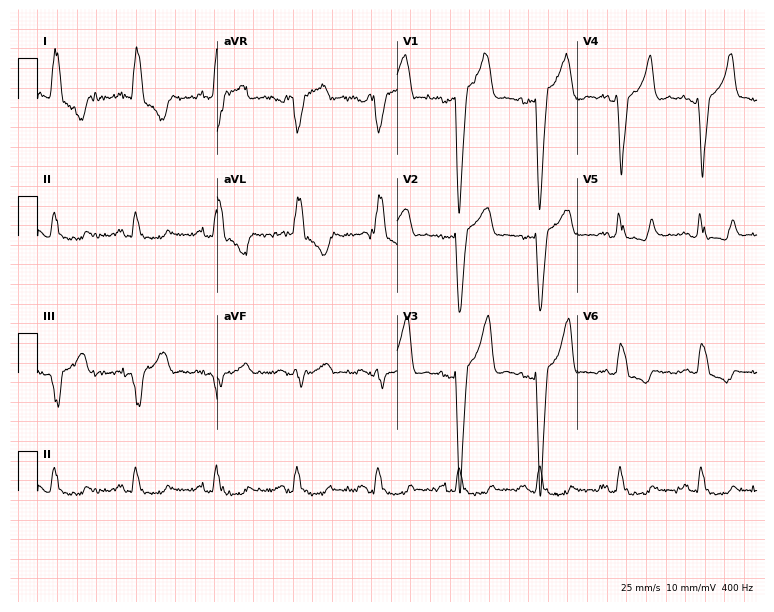
ECG (7.3-second recording at 400 Hz) — a 77-year-old female. Findings include left bundle branch block (LBBB).